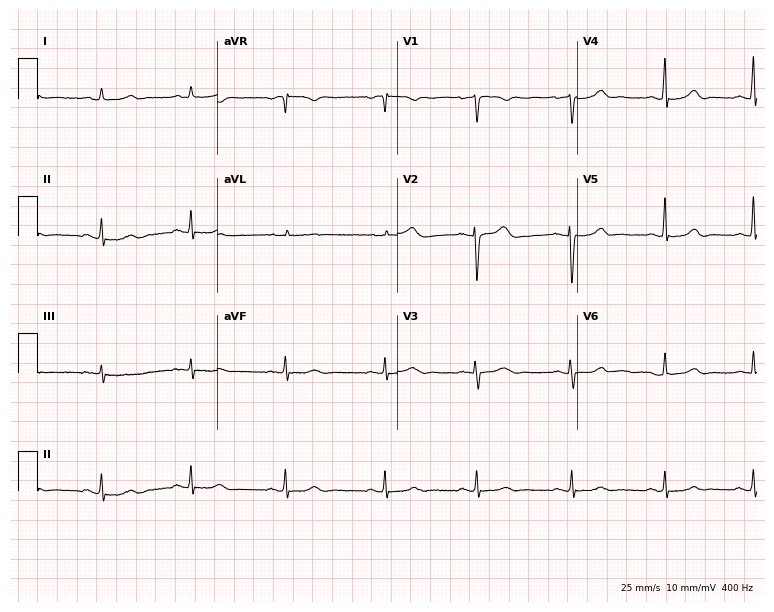
Standard 12-lead ECG recorded from a 45-year-old female patient (7.3-second recording at 400 Hz). None of these six findings is recorded: first-degree AV block, right bundle branch block (RBBB), left bundle branch block (LBBB), sinus bradycardia, atrial fibrillation (AF), sinus tachycardia.